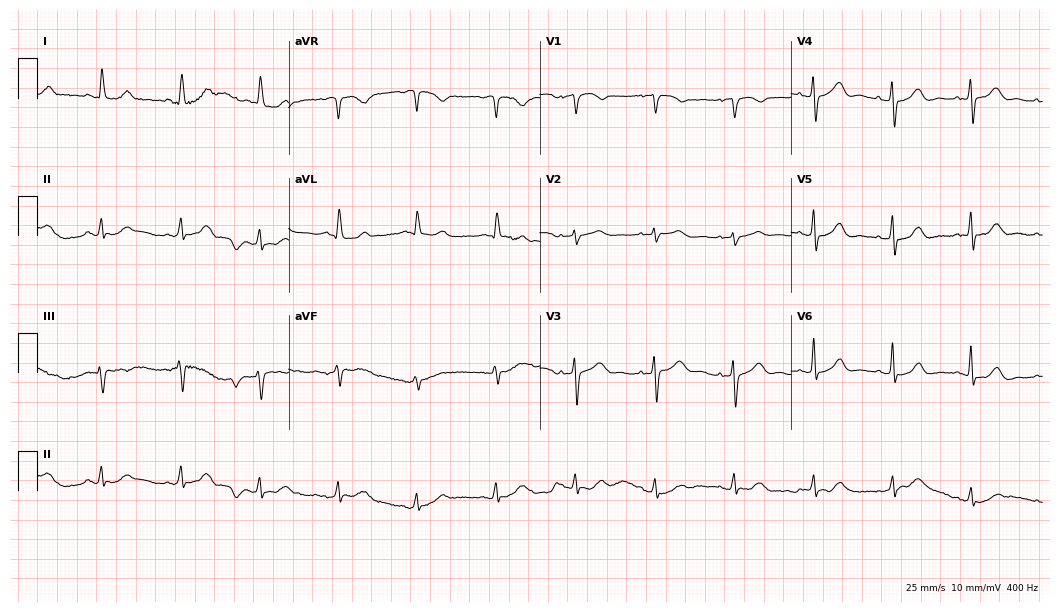
Standard 12-lead ECG recorded from a 73-year-old female patient. Read as a normal ECG.